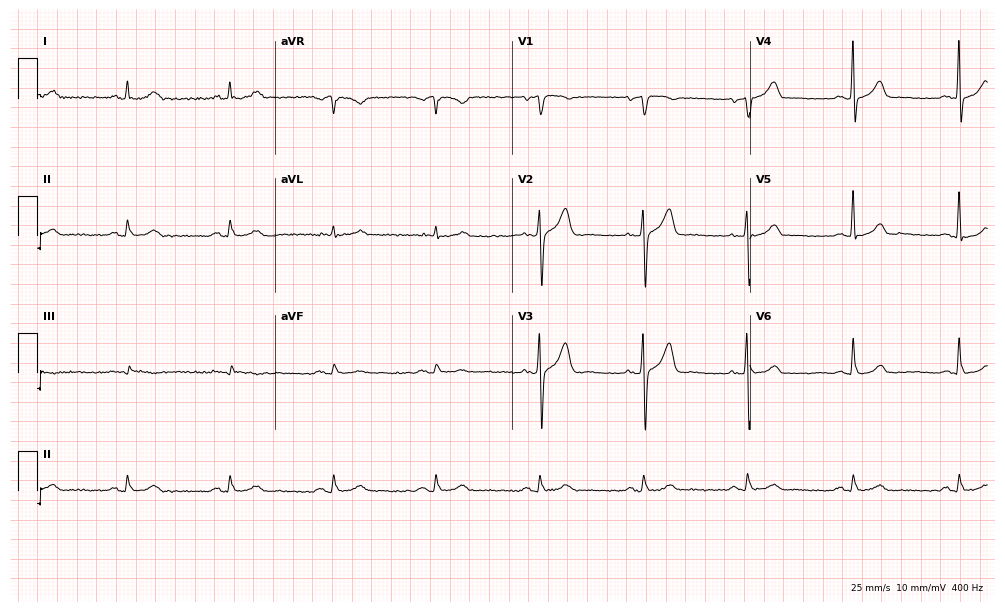
12-lead ECG (9.7-second recording at 400 Hz) from a female patient, 66 years old. Labelled as a normal ECG.